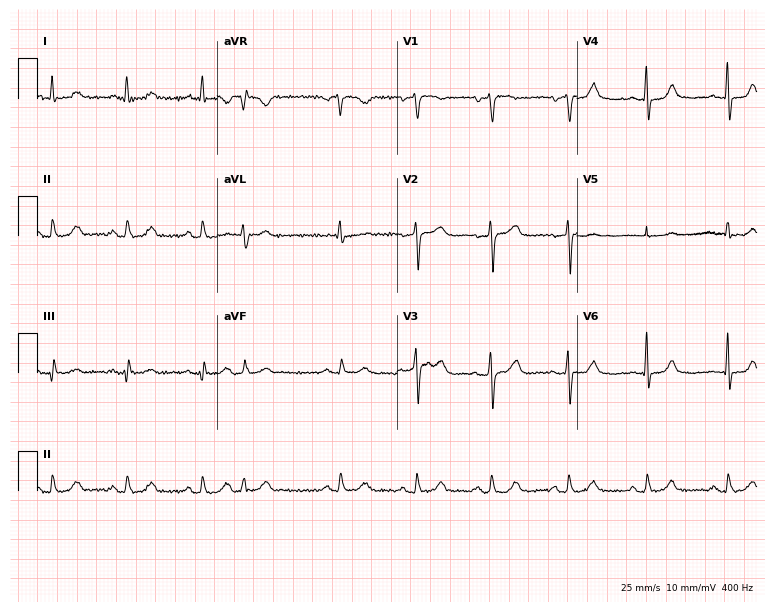
12-lead ECG from a 69-year-old man. No first-degree AV block, right bundle branch block, left bundle branch block, sinus bradycardia, atrial fibrillation or sinus tachycardia recorded for this tracing.